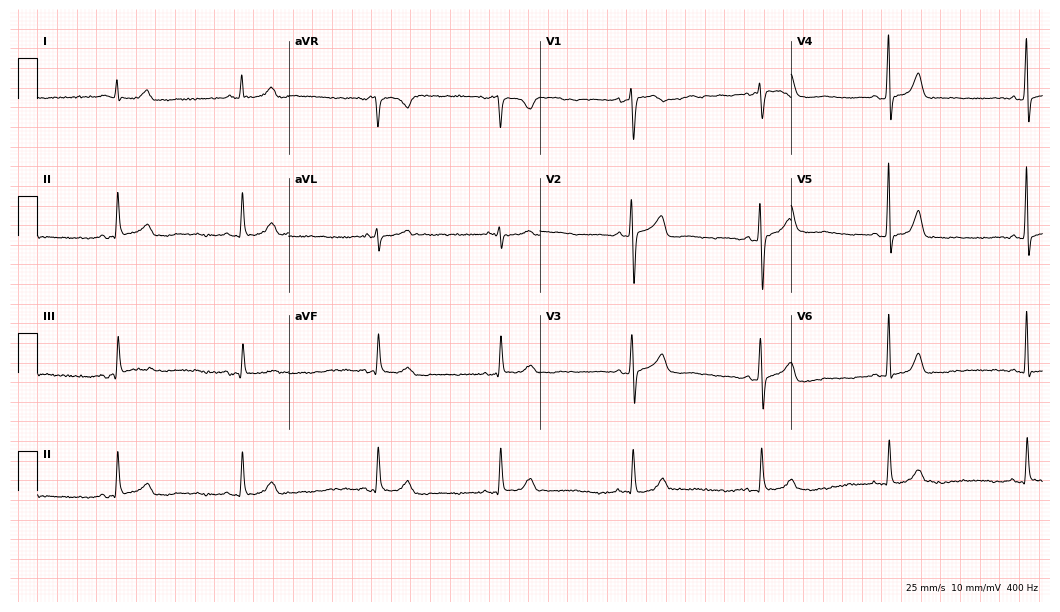
Resting 12-lead electrocardiogram. Patient: a female, 64 years old. The tracing shows sinus bradycardia (a sinus rate of 50 beats per minute or less).